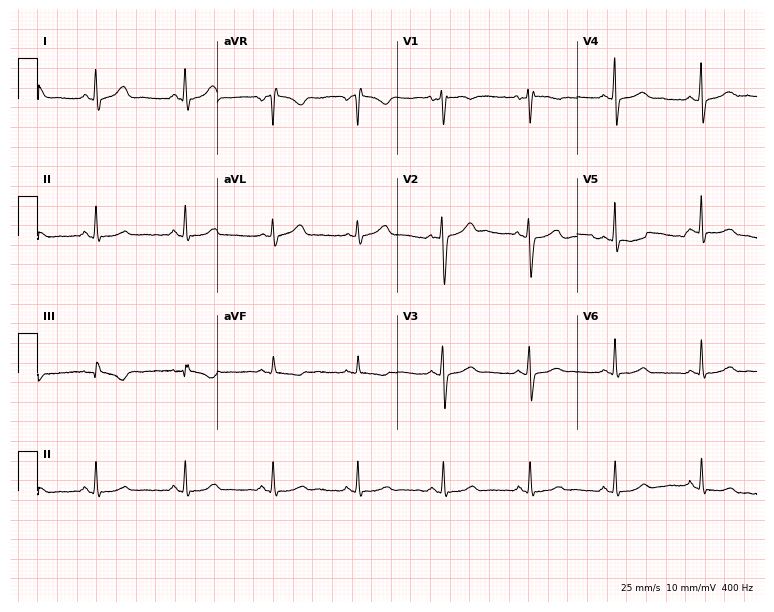
Standard 12-lead ECG recorded from a woman, 28 years old (7.3-second recording at 400 Hz). Read as a normal ECG.